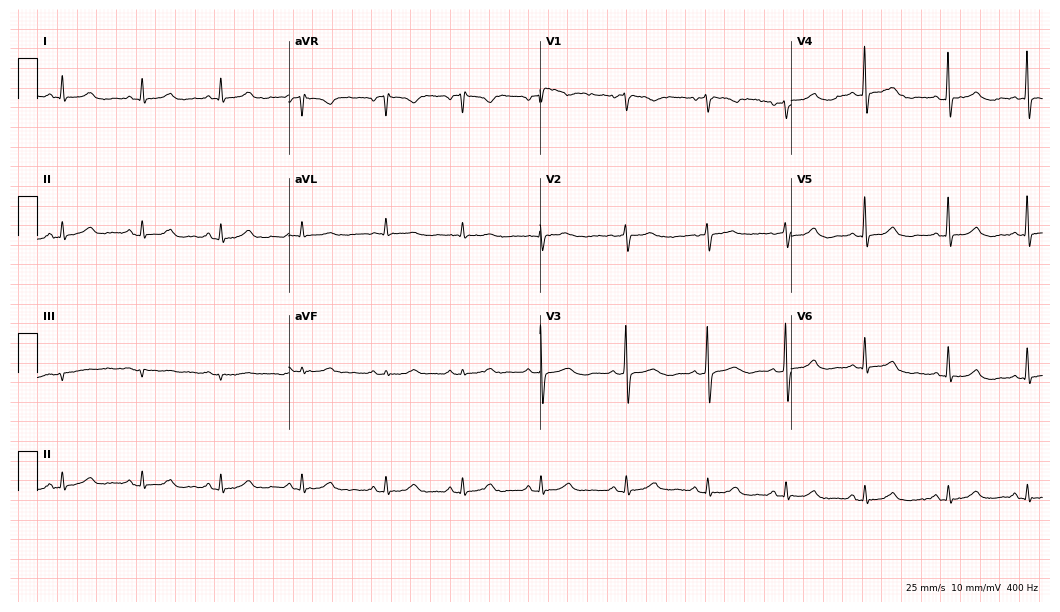
12-lead ECG from a male patient, 63 years old. Screened for six findings — first-degree AV block, right bundle branch block, left bundle branch block, sinus bradycardia, atrial fibrillation, sinus tachycardia — none is recorded.